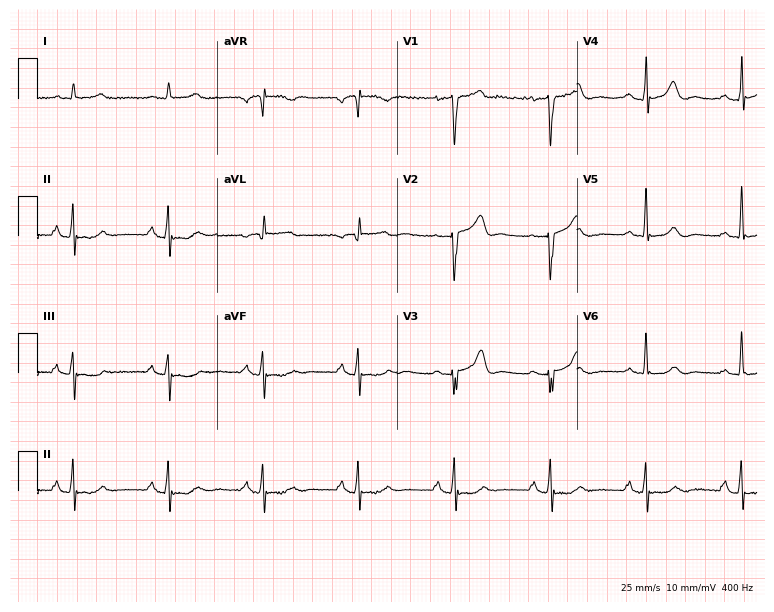
Electrocardiogram, a male, 70 years old. Overall reading on record: normal ECG.